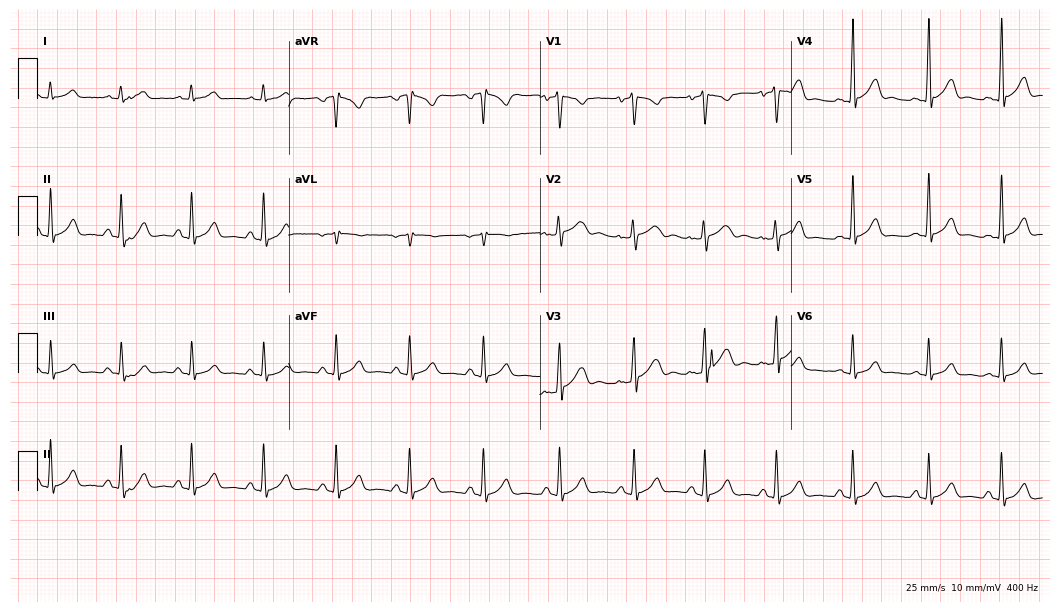
Electrocardiogram, a man, 23 years old. Overall reading on record: normal ECG.